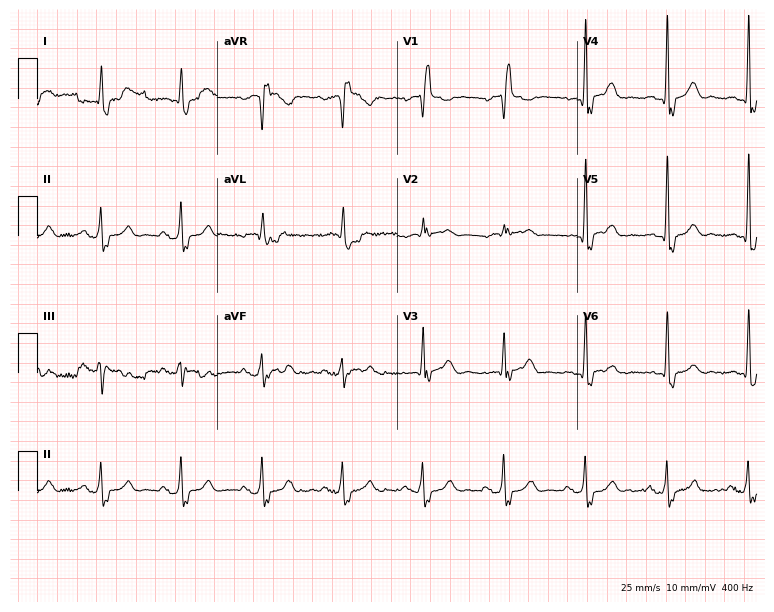
ECG — a male patient, 75 years old. Screened for six findings — first-degree AV block, right bundle branch block, left bundle branch block, sinus bradycardia, atrial fibrillation, sinus tachycardia — none is recorded. Only these six findings were labelled.